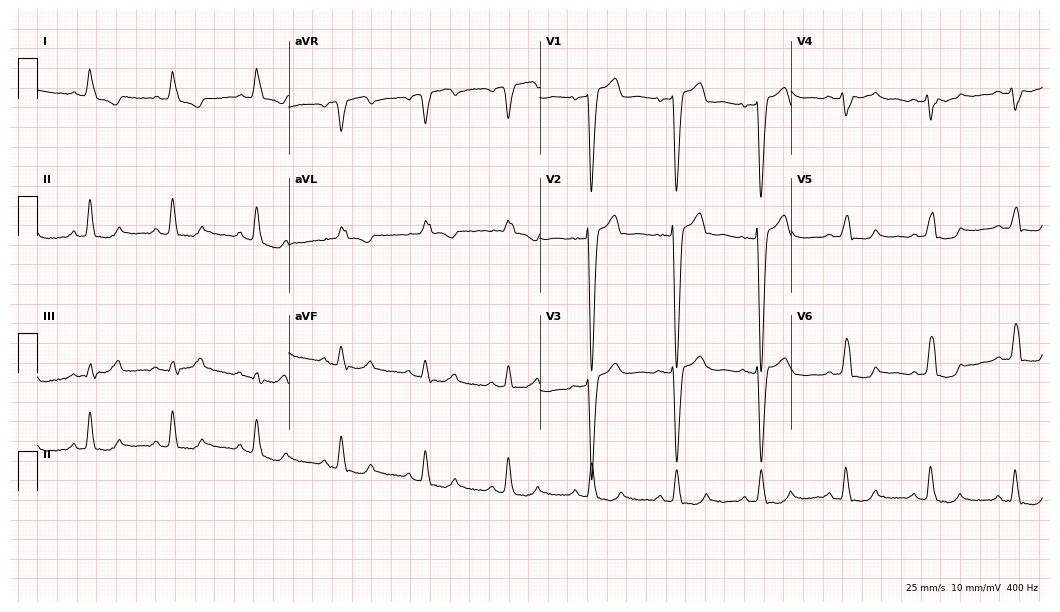
ECG — a female patient, 76 years old. Screened for six findings — first-degree AV block, right bundle branch block, left bundle branch block, sinus bradycardia, atrial fibrillation, sinus tachycardia — none is recorded.